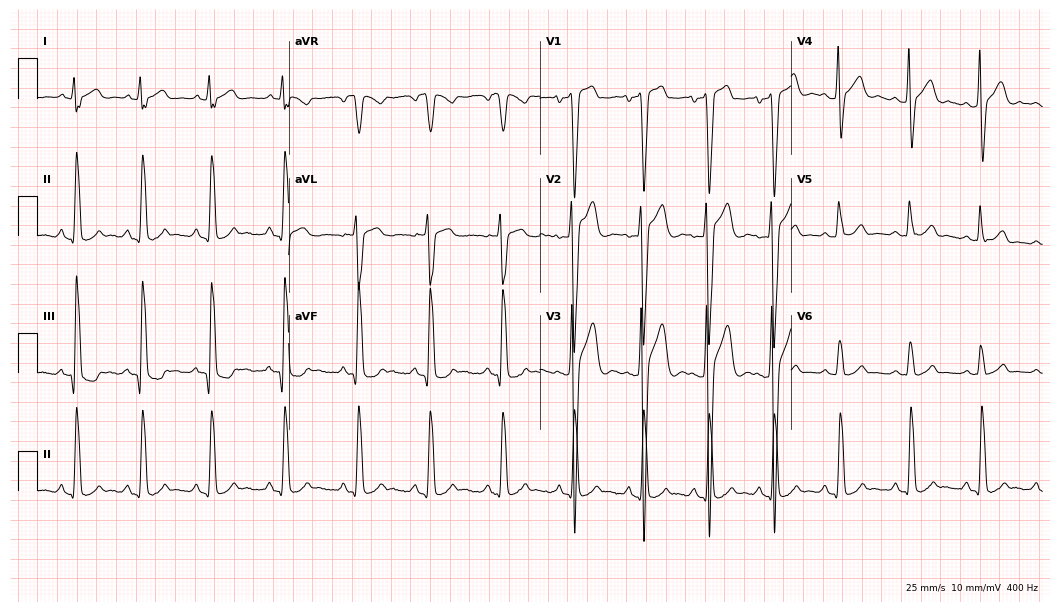
12-lead ECG from a man, 18 years old. No first-degree AV block, right bundle branch block (RBBB), left bundle branch block (LBBB), sinus bradycardia, atrial fibrillation (AF) or sinus tachycardia recorded for this tracing. Other findings, if any, are not listed.